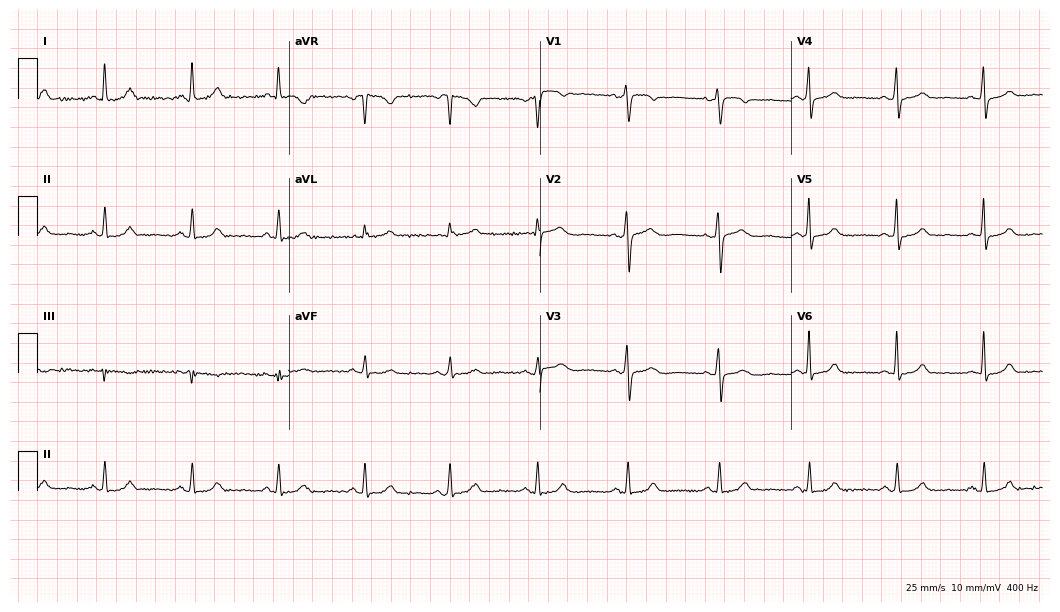
Electrocardiogram (10.2-second recording at 400 Hz), a woman, 53 years old. Overall reading on record: normal ECG.